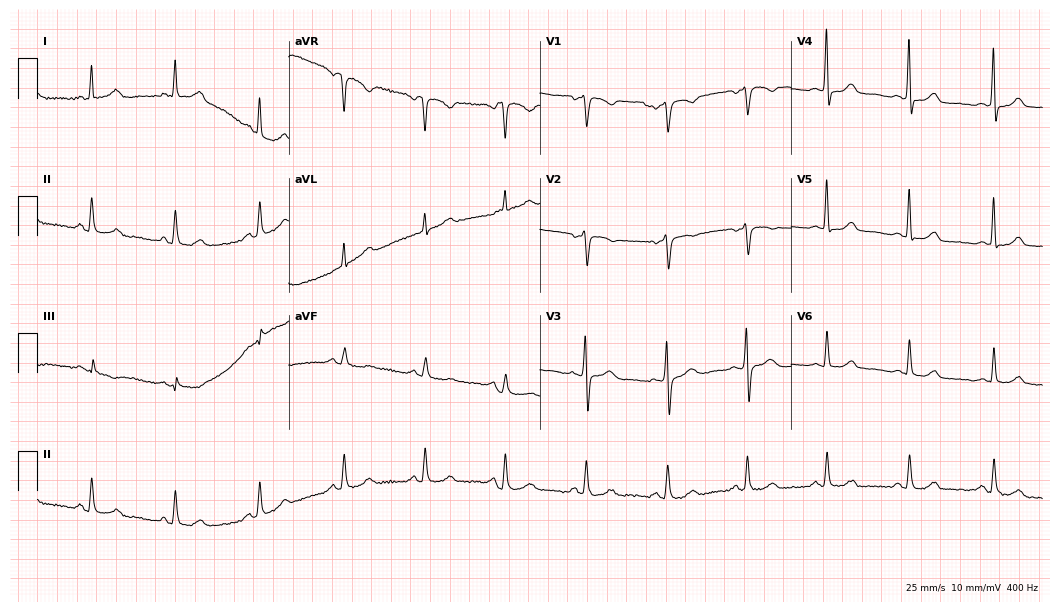
Electrocardiogram, a female patient, 64 years old. Overall reading on record: normal ECG.